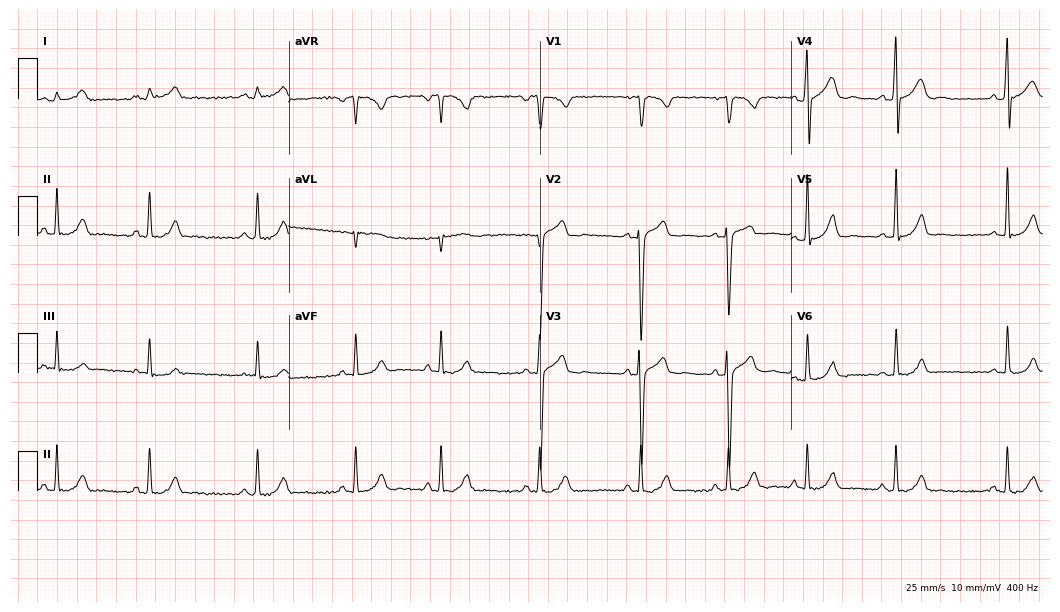
ECG — a man, 21 years old. Labelled as a normal ECG.